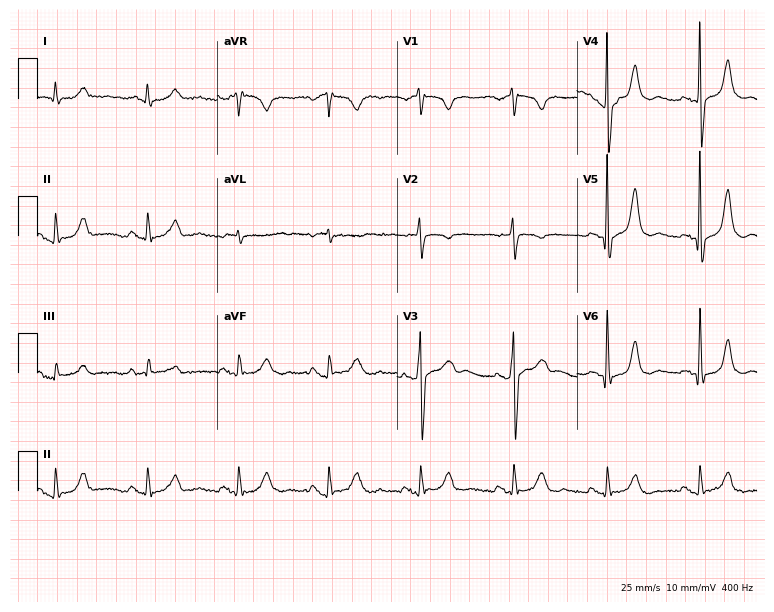
Standard 12-lead ECG recorded from a 75-year-old male (7.3-second recording at 400 Hz). None of these six findings is recorded: first-degree AV block, right bundle branch block, left bundle branch block, sinus bradycardia, atrial fibrillation, sinus tachycardia.